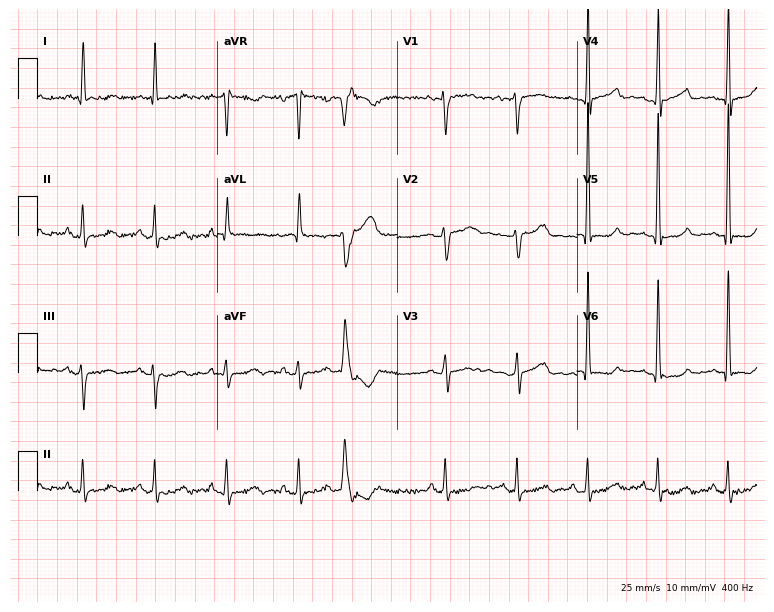
Standard 12-lead ECG recorded from an 82-year-old woman (7.3-second recording at 400 Hz). None of these six findings is recorded: first-degree AV block, right bundle branch block (RBBB), left bundle branch block (LBBB), sinus bradycardia, atrial fibrillation (AF), sinus tachycardia.